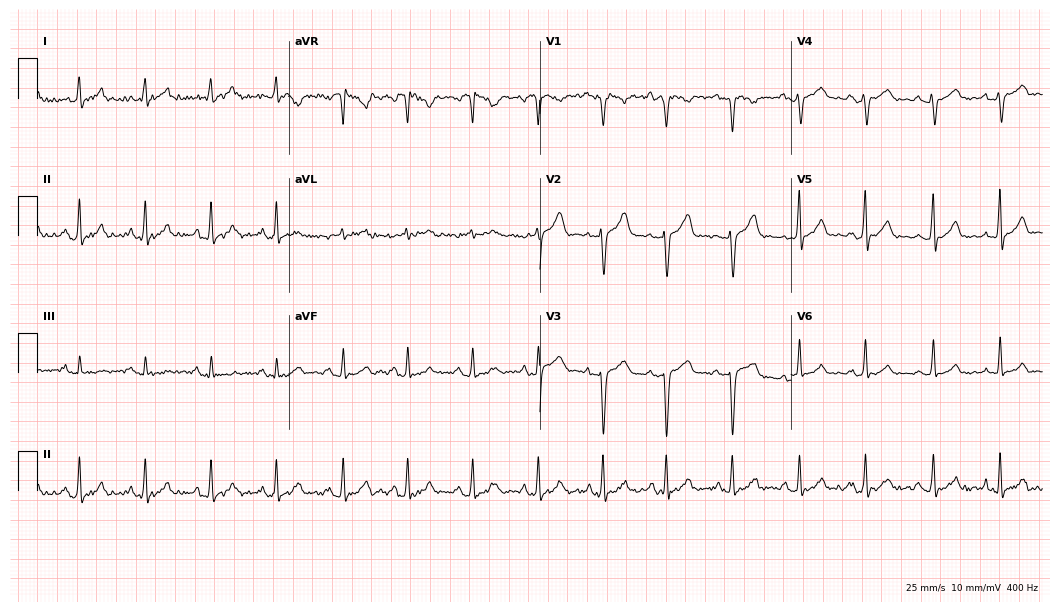
Resting 12-lead electrocardiogram. Patient: a woman, 33 years old. Read as a normal ECG.